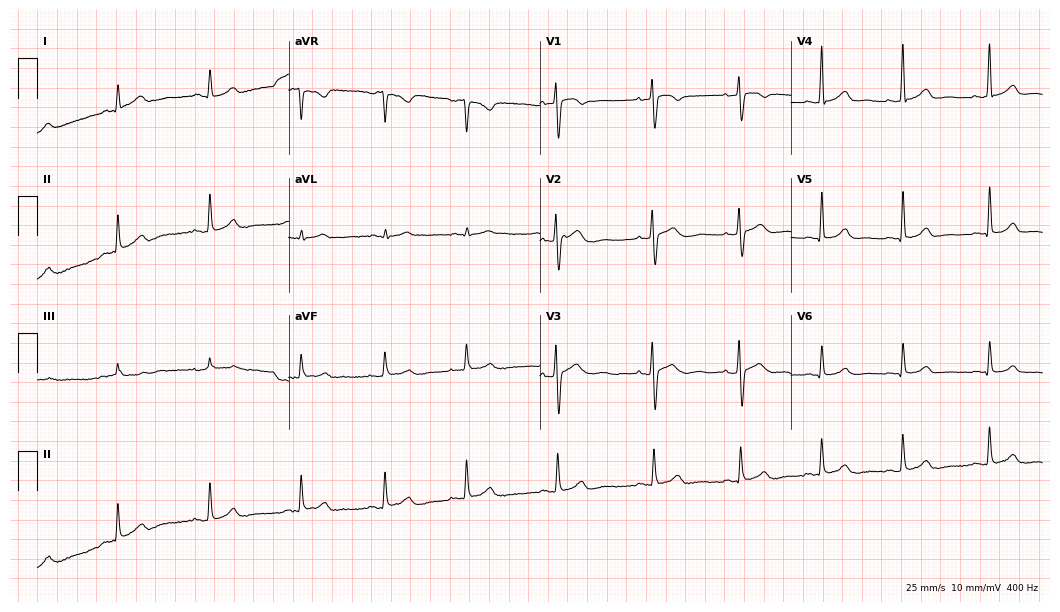
12-lead ECG from a female patient, 19 years old. Screened for six findings — first-degree AV block, right bundle branch block, left bundle branch block, sinus bradycardia, atrial fibrillation, sinus tachycardia — none is recorded. Other findings, if any, are not listed.